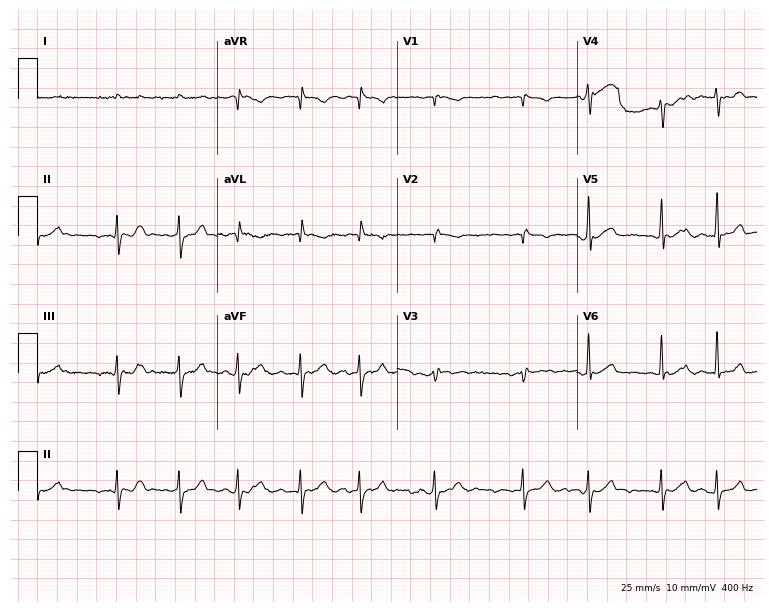
Standard 12-lead ECG recorded from a 77-year-old male patient. The tracing shows atrial fibrillation.